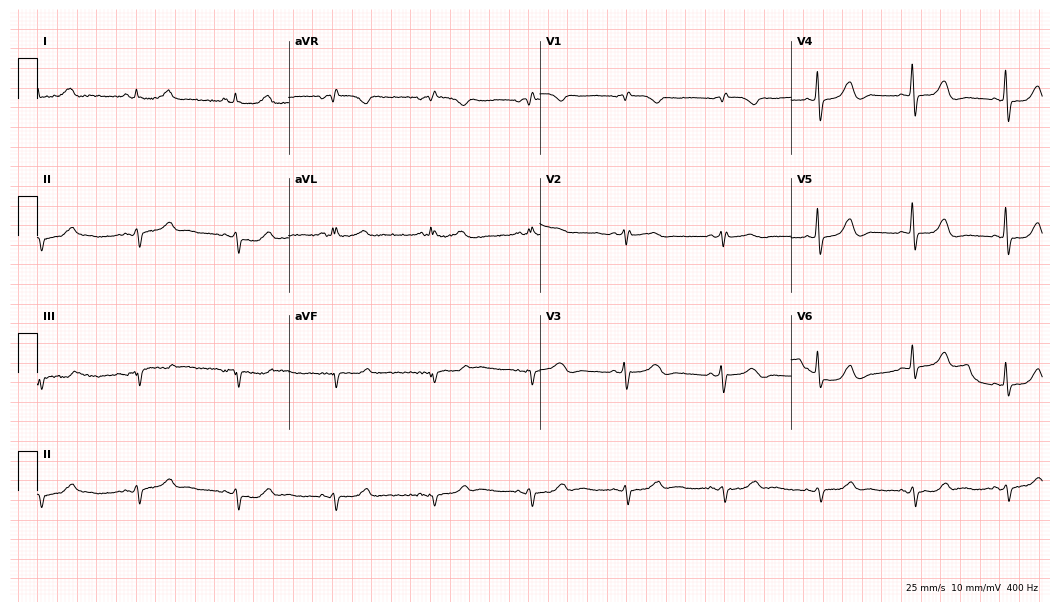
Resting 12-lead electrocardiogram (10.2-second recording at 400 Hz). Patient: a 71-year-old female. None of these six findings is recorded: first-degree AV block, right bundle branch block (RBBB), left bundle branch block (LBBB), sinus bradycardia, atrial fibrillation (AF), sinus tachycardia. Other findings, if any, are not listed.